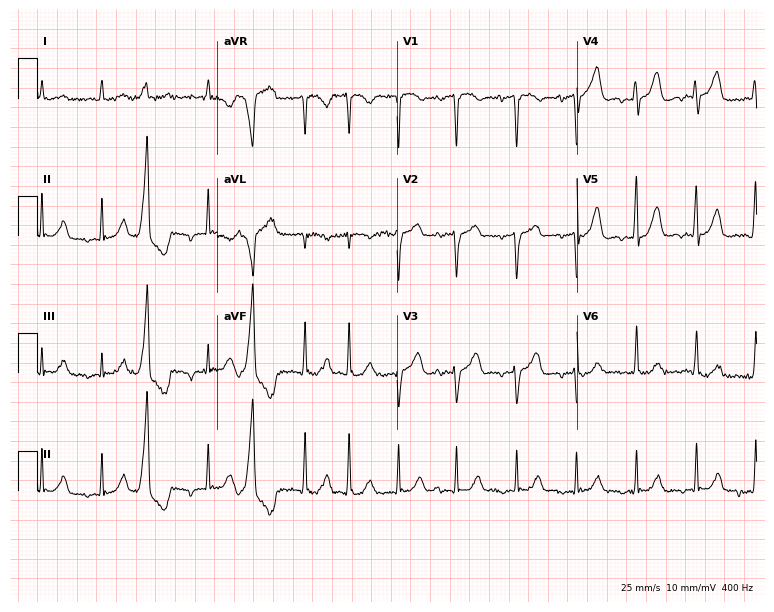
12-lead ECG from an 84-year-old man. Screened for six findings — first-degree AV block, right bundle branch block, left bundle branch block, sinus bradycardia, atrial fibrillation, sinus tachycardia — none is recorded.